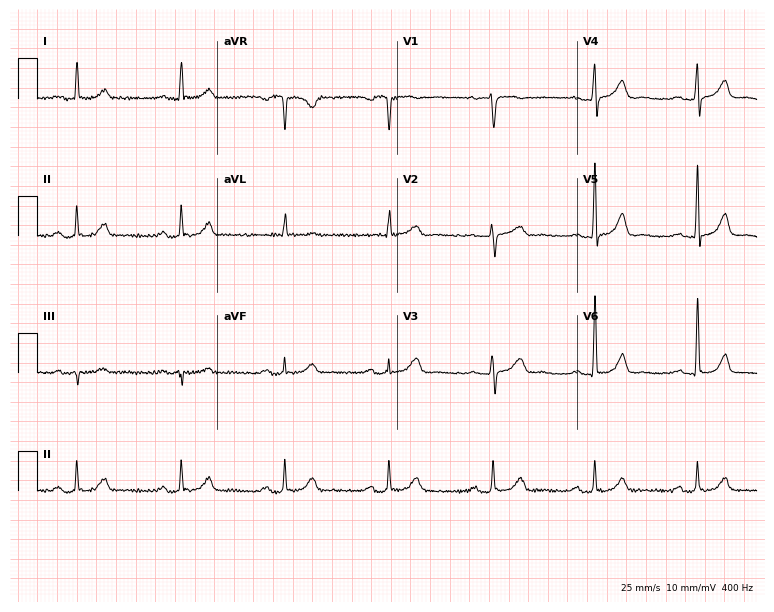
ECG — a female, 76 years old. Screened for six findings — first-degree AV block, right bundle branch block (RBBB), left bundle branch block (LBBB), sinus bradycardia, atrial fibrillation (AF), sinus tachycardia — none is recorded.